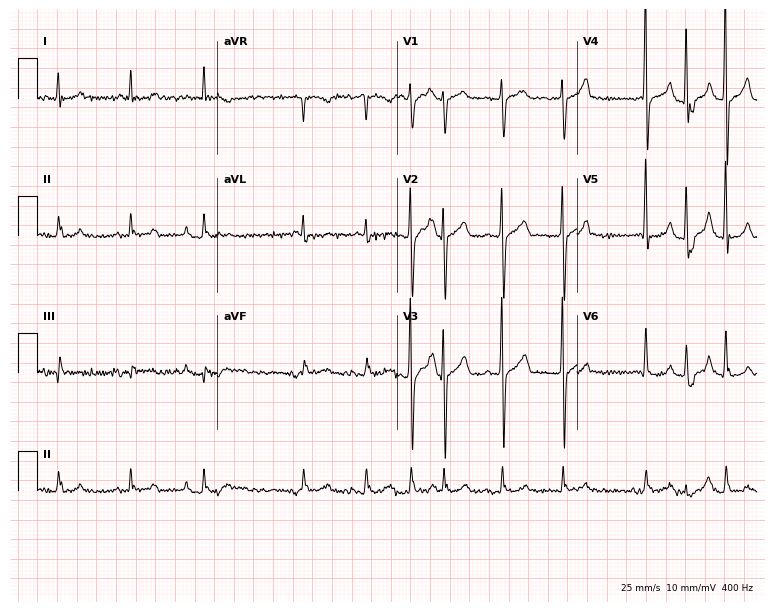
Electrocardiogram (7.3-second recording at 400 Hz), a male patient, 81 years old. Interpretation includes atrial fibrillation.